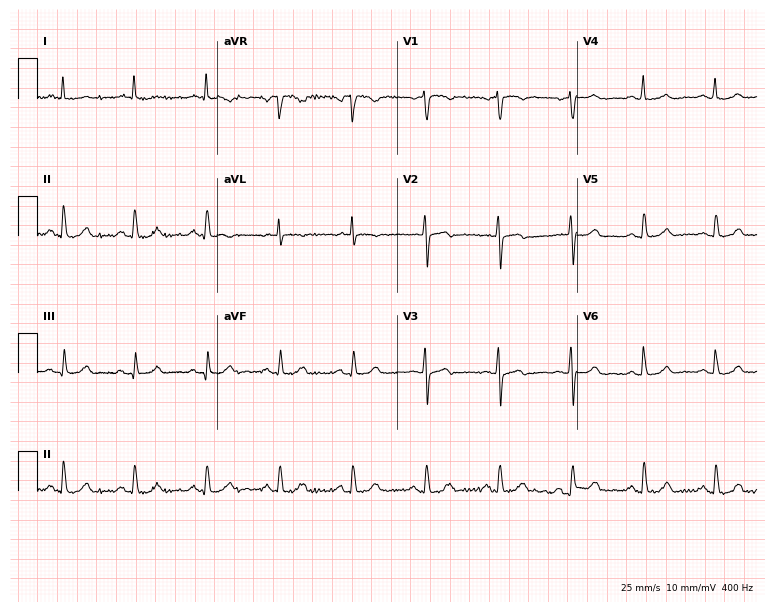
Electrocardiogram, a woman, 61 years old. Overall reading on record: normal ECG.